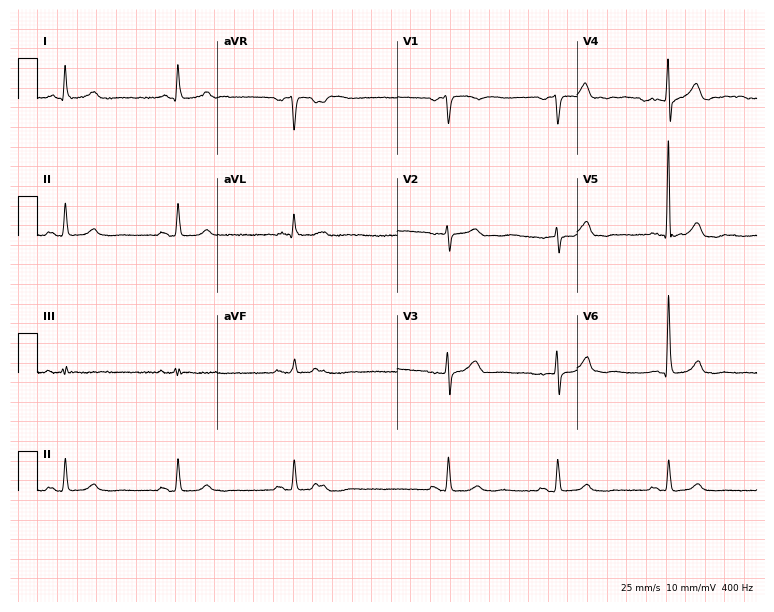
Standard 12-lead ECG recorded from a man, 69 years old (7.3-second recording at 400 Hz). None of these six findings is recorded: first-degree AV block, right bundle branch block, left bundle branch block, sinus bradycardia, atrial fibrillation, sinus tachycardia. Other findings, if any, are not listed.